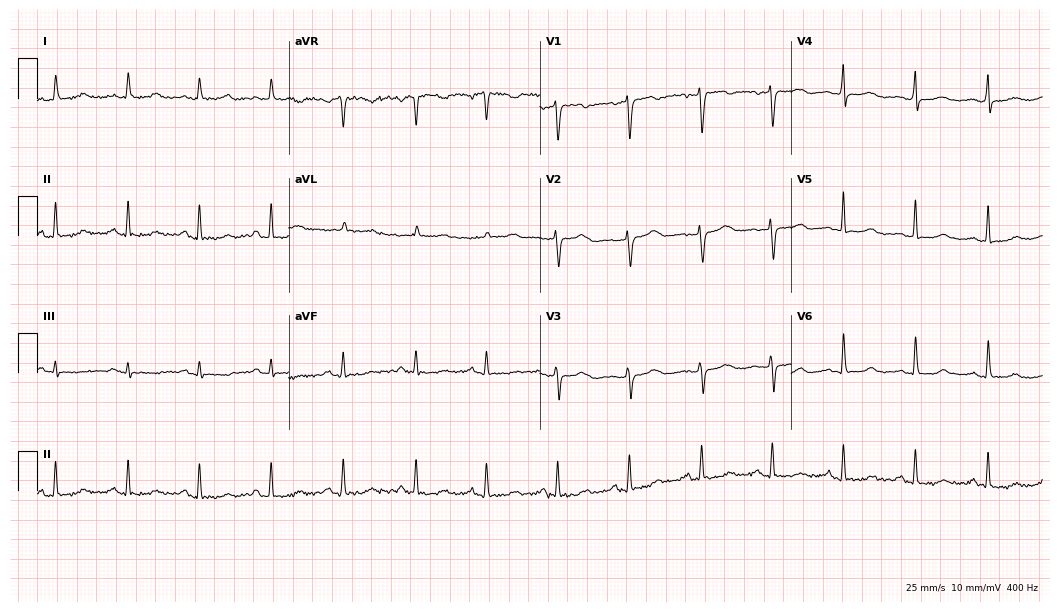
Standard 12-lead ECG recorded from a woman, 46 years old (10.2-second recording at 400 Hz). None of these six findings is recorded: first-degree AV block, right bundle branch block, left bundle branch block, sinus bradycardia, atrial fibrillation, sinus tachycardia.